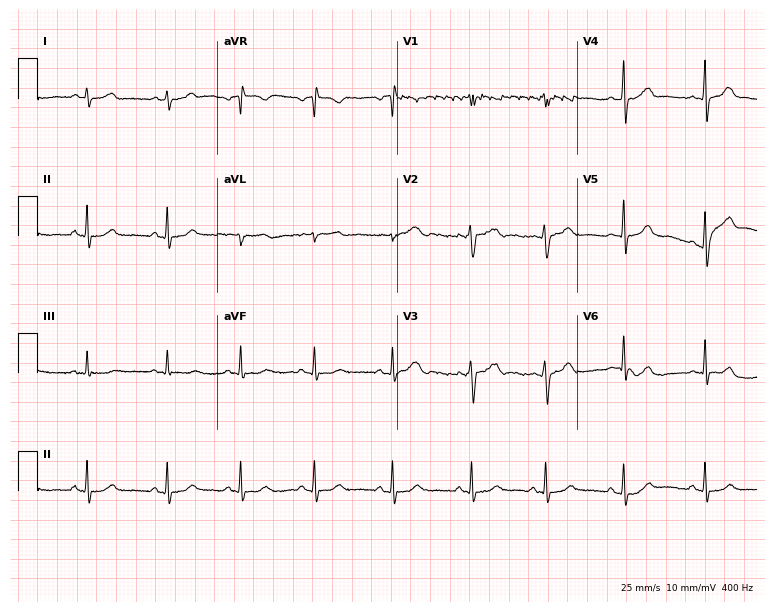
Resting 12-lead electrocardiogram. Patient: a woman, 22 years old. None of these six findings is recorded: first-degree AV block, right bundle branch block, left bundle branch block, sinus bradycardia, atrial fibrillation, sinus tachycardia. Only these six findings were labelled.